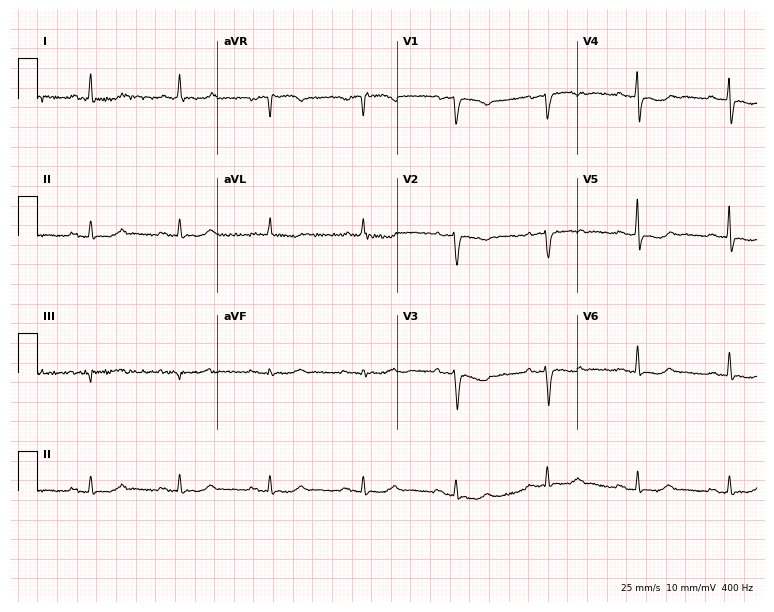
ECG — a woman, 65 years old. Screened for six findings — first-degree AV block, right bundle branch block, left bundle branch block, sinus bradycardia, atrial fibrillation, sinus tachycardia — none is recorded. Only these six findings were labelled.